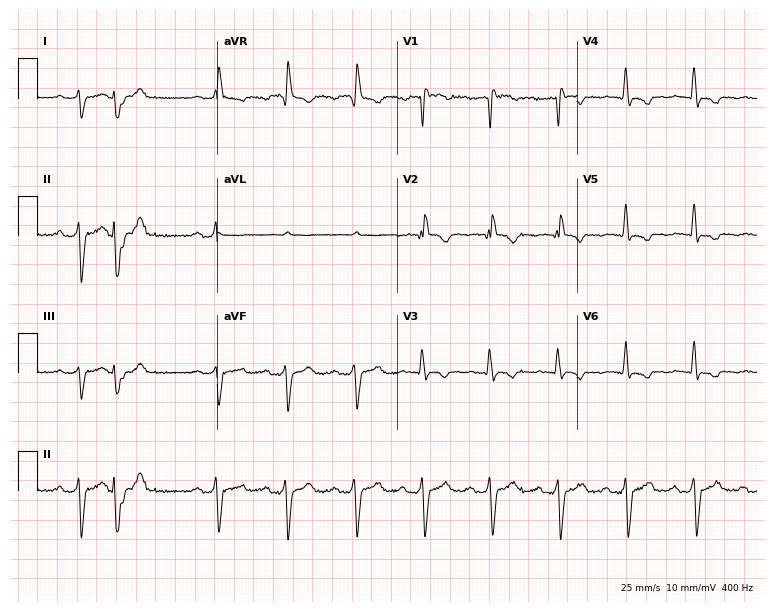
Resting 12-lead electrocardiogram (7.3-second recording at 400 Hz). Patient: a male, 76 years old. The tracing shows first-degree AV block.